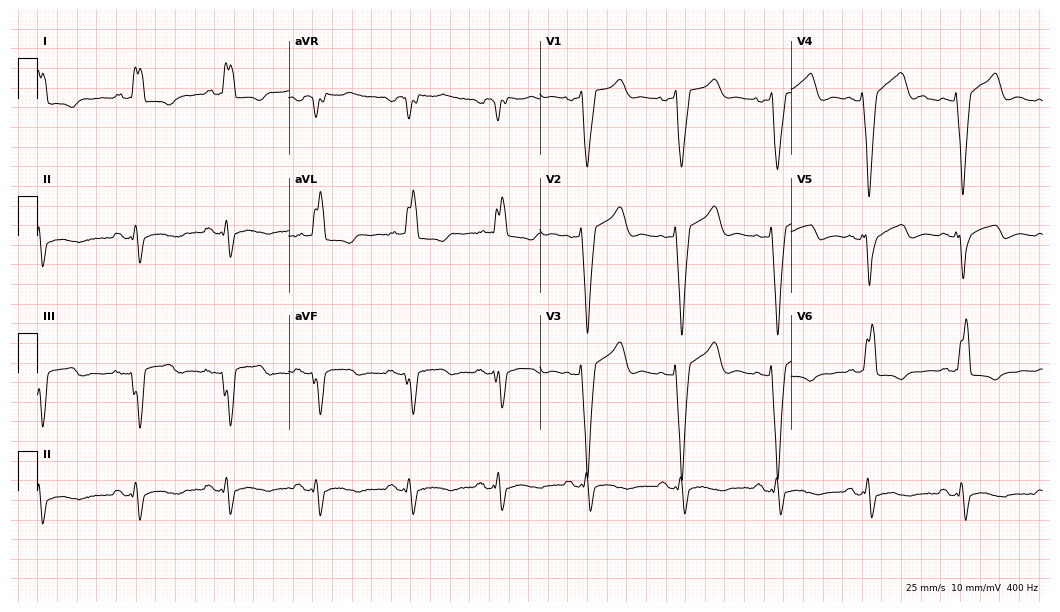
12-lead ECG from a 70-year-old female patient. Findings include left bundle branch block.